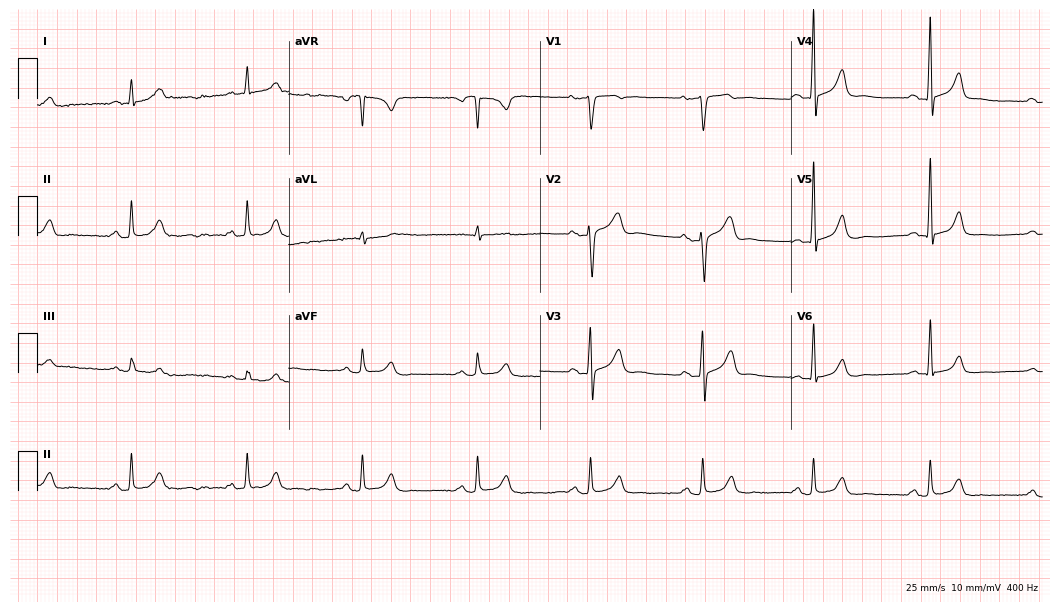
12-lead ECG (10.2-second recording at 400 Hz) from a man, 62 years old. Labelled as a normal ECG.